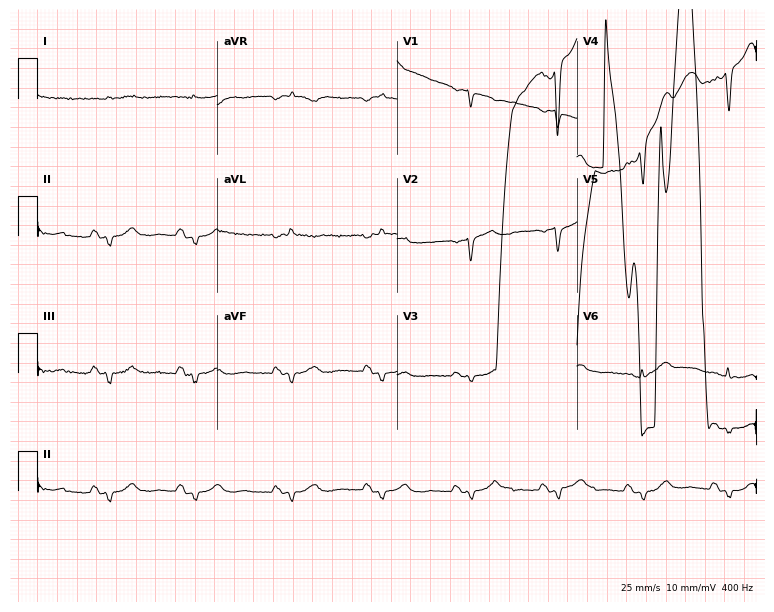
Standard 12-lead ECG recorded from a 79-year-old man. None of these six findings is recorded: first-degree AV block, right bundle branch block (RBBB), left bundle branch block (LBBB), sinus bradycardia, atrial fibrillation (AF), sinus tachycardia.